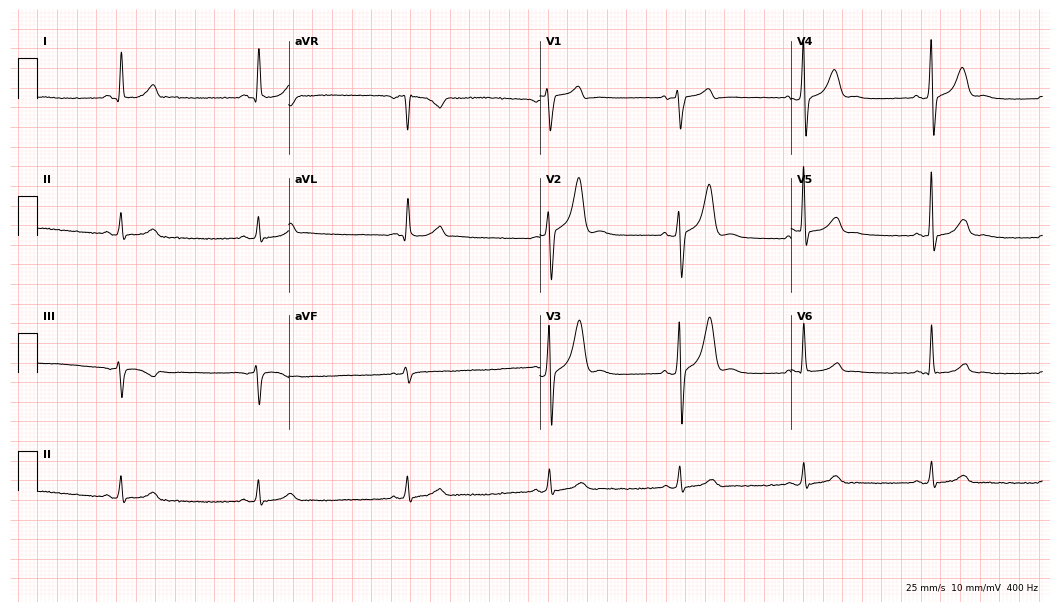
Standard 12-lead ECG recorded from a man, 60 years old. The tracing shows sinus bradycardia (a sinus rate of 50 beats per minute or less).